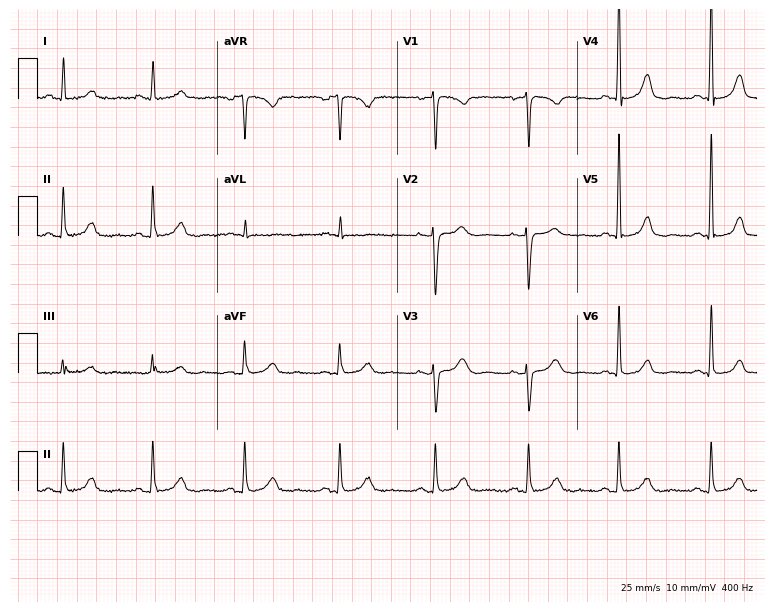
Resting 12-lead electrocardiogram (7.3-second recording at 400 Hz). Patient: a 52-year-old female. Read as a normal ECG.